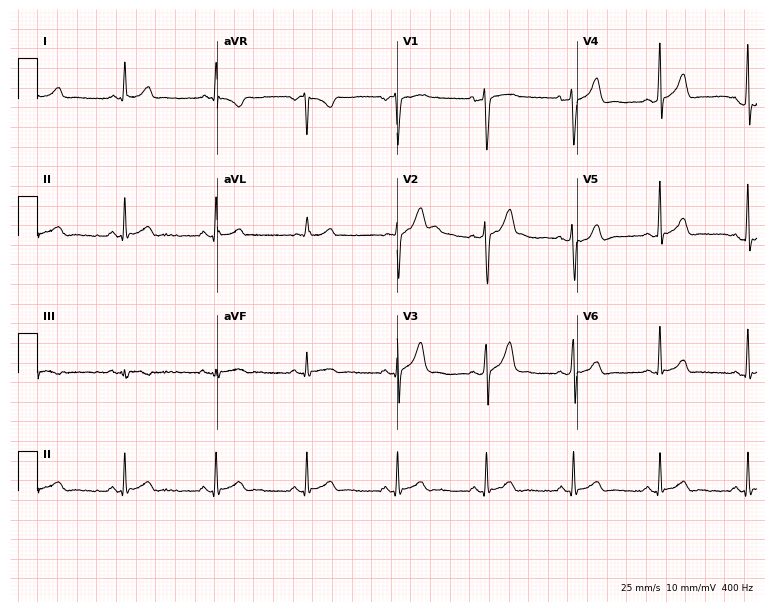
Electrocardiogram, a male, 28 years old. Of the six screened findings (first-degree AV block, right bundle branch block, left bundle branch block, sinus bradycardia, atrial fibrillation, sinus tachycardia), none is recorded.